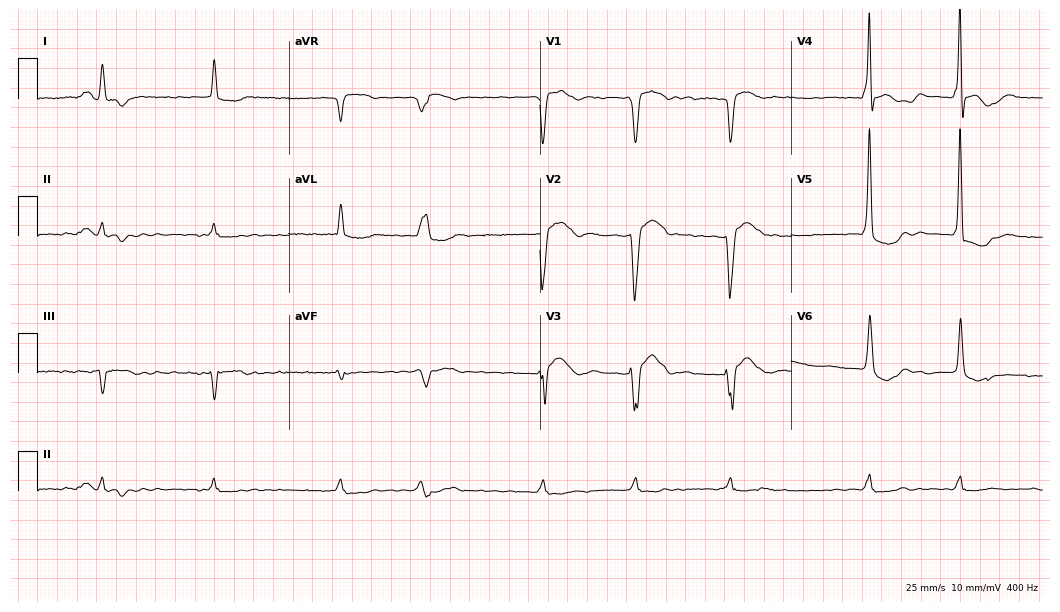
12-lead ECG from a 74-year-old male. Shows first-degree AV block, atrial fibrillation.